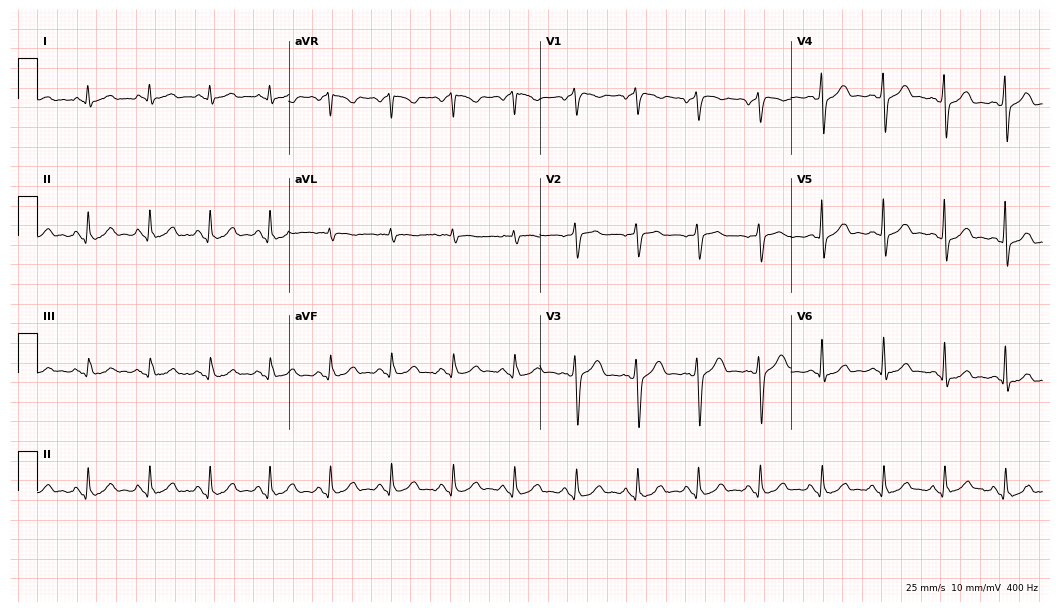
Standard 12-lead ECG recorded from a 60-year-old man. Read as a normal ECG.